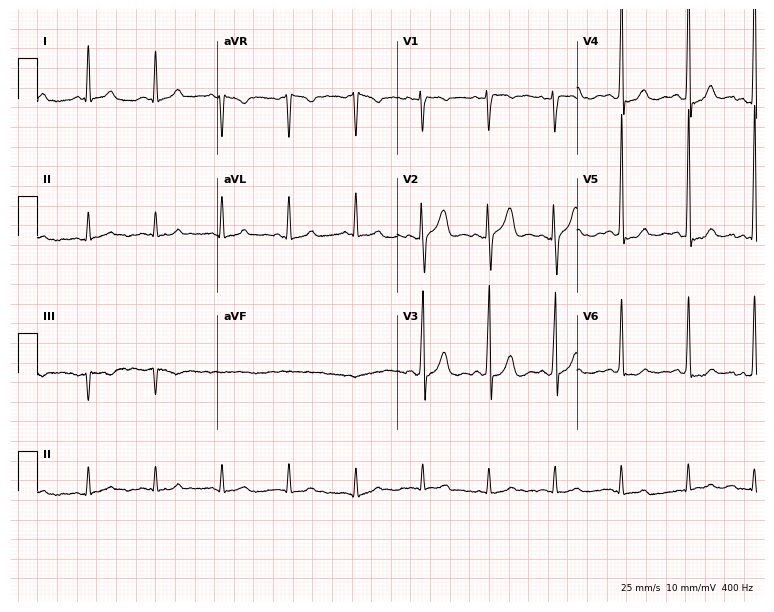
Standard 12-lead ECG recorded from a 38-year-old male (7.3-second recording at 400 Hz). None of these six findings is recorded: first-degree AV block, right bundle branch block (RBBB), left bundle branch block (LBBB), sinus bradycardia, atrial fibrillation (AF), sinus tachycardia.